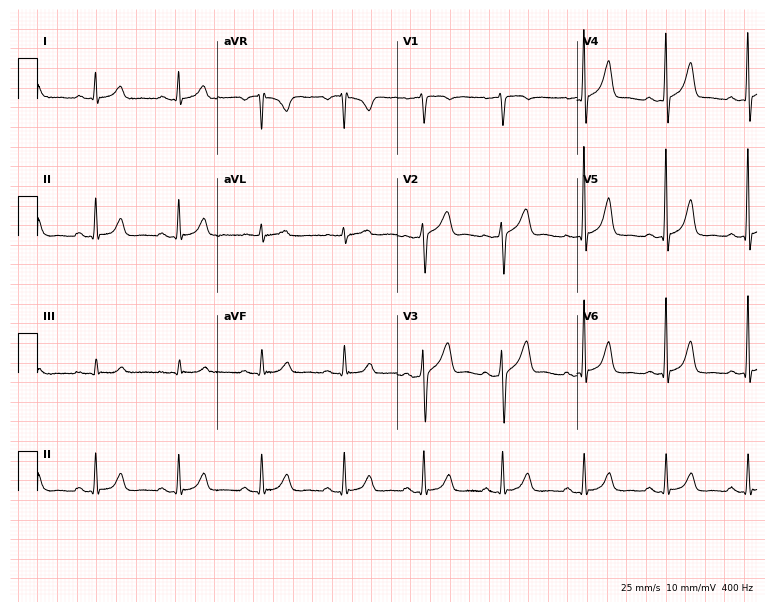
12-lead ECG (7.3-second recording at 400 Hz) from a male patient, 60 years old. Labelled as a normal ECG.